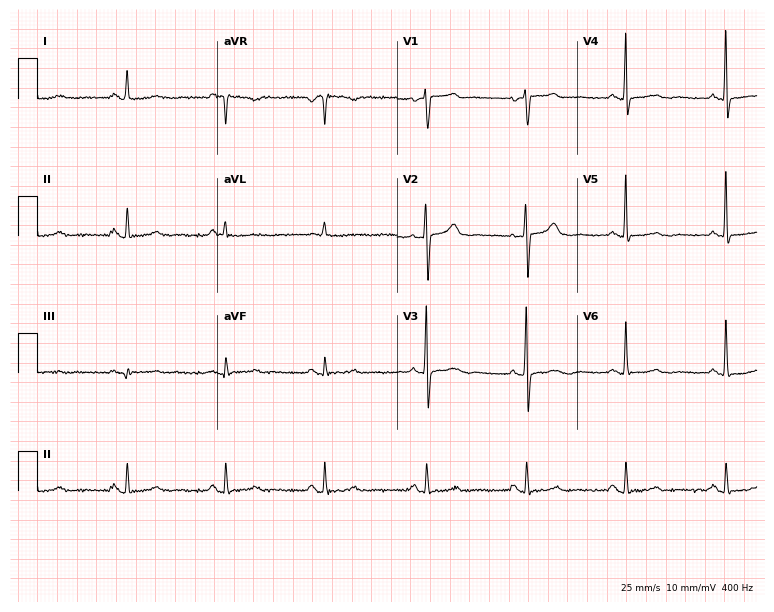
ECG — a 60-year-old woman. Screened for six findings — first-degree AV block, right bundle branch block (RBBB), left bundle branch block (LBBB), sinus bradycardia, atrial fibrillation (AF), sinus tachycardia — none is recorded.